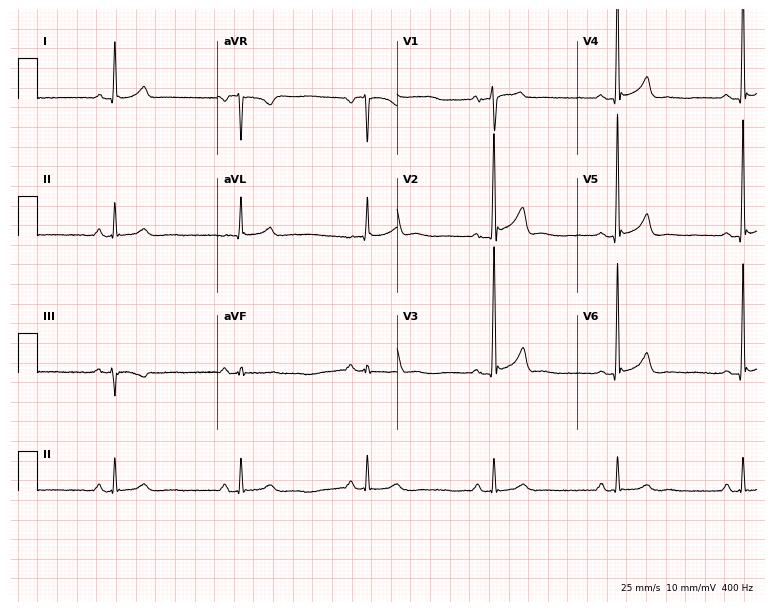
ECG (7.3-second recording at 400 Hz) — a male patient, 58 years old. Findings include sinus bradycardia (a sinus rate of 50 beats per minute or less).